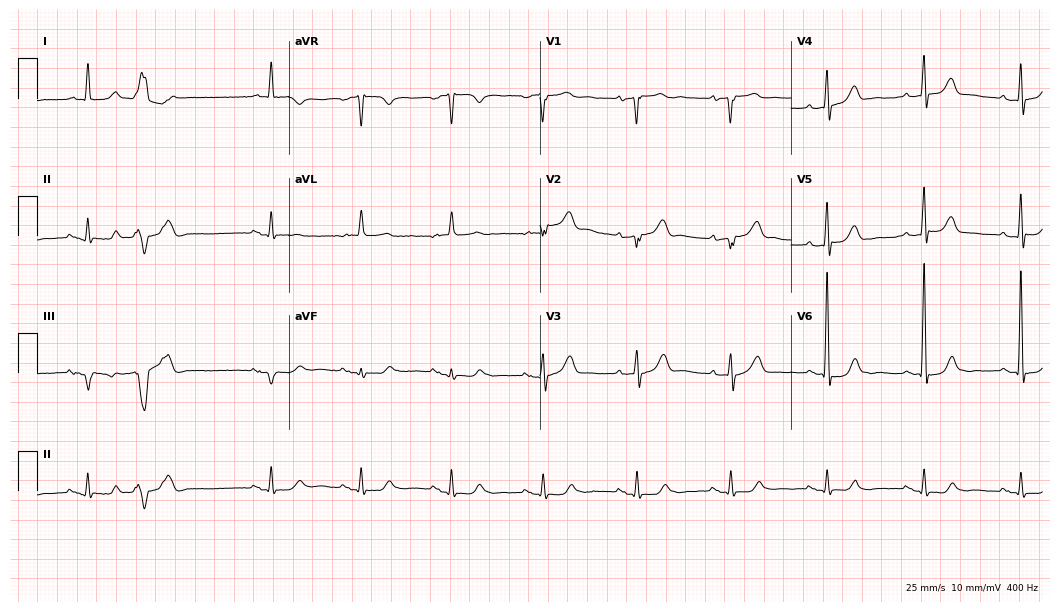
12-lead ECG from a male patient, 83 years old. Recorded interpretation: within normal limits.